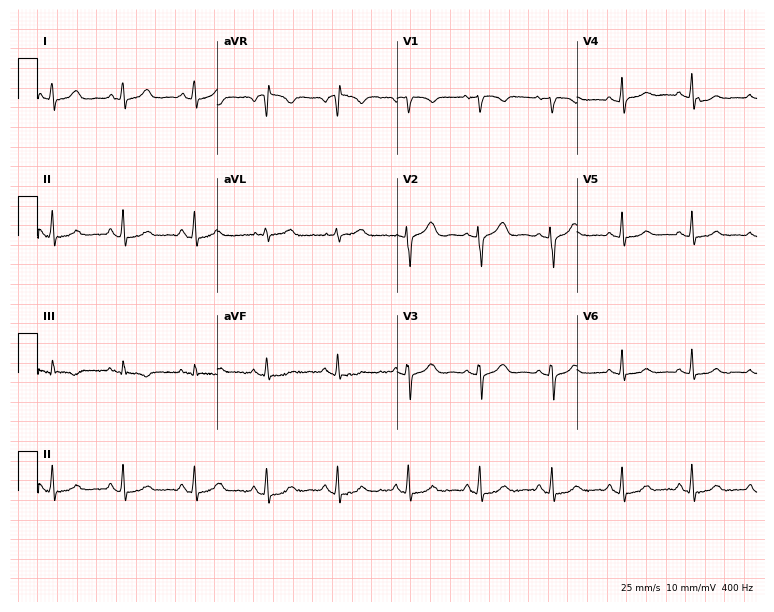
12-lead ECG (7.3-second recording at 400 Hz) from a female, 40 years old. Labelled as a normal ECG.